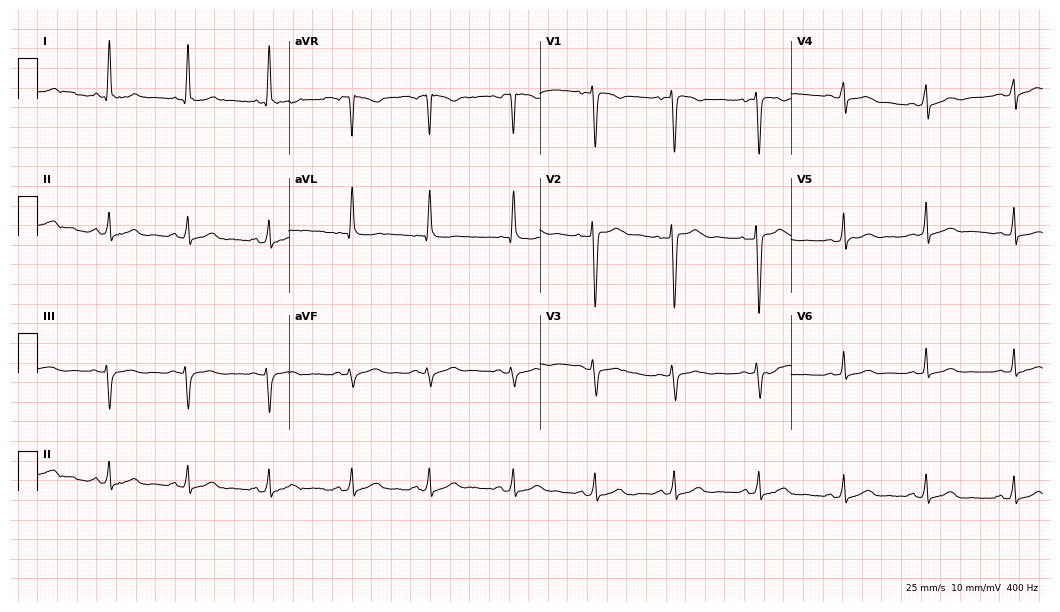
12-lead ECG (10.2-second recording at 400 Hz) from a 33-year-old woman. Labelled as a normal ECG.